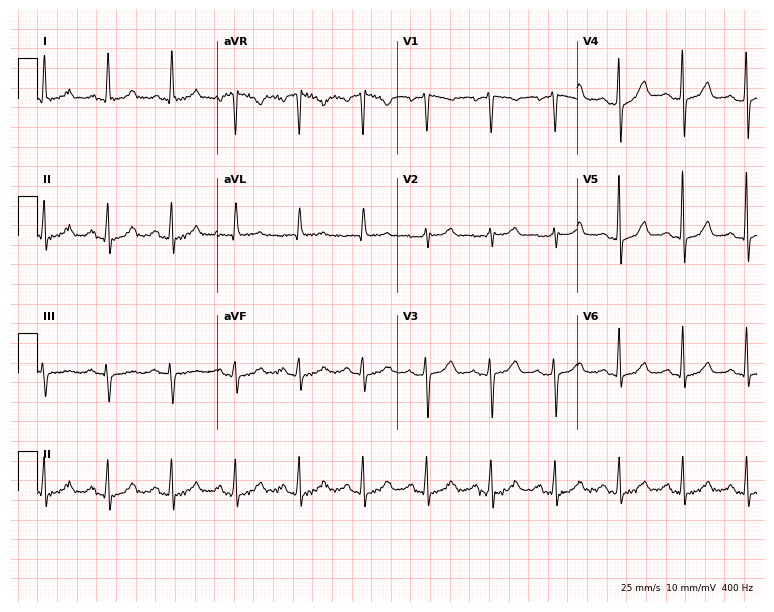
12-lead ECG from a 60-year-old female. Recorded interpretation: within normal limits.